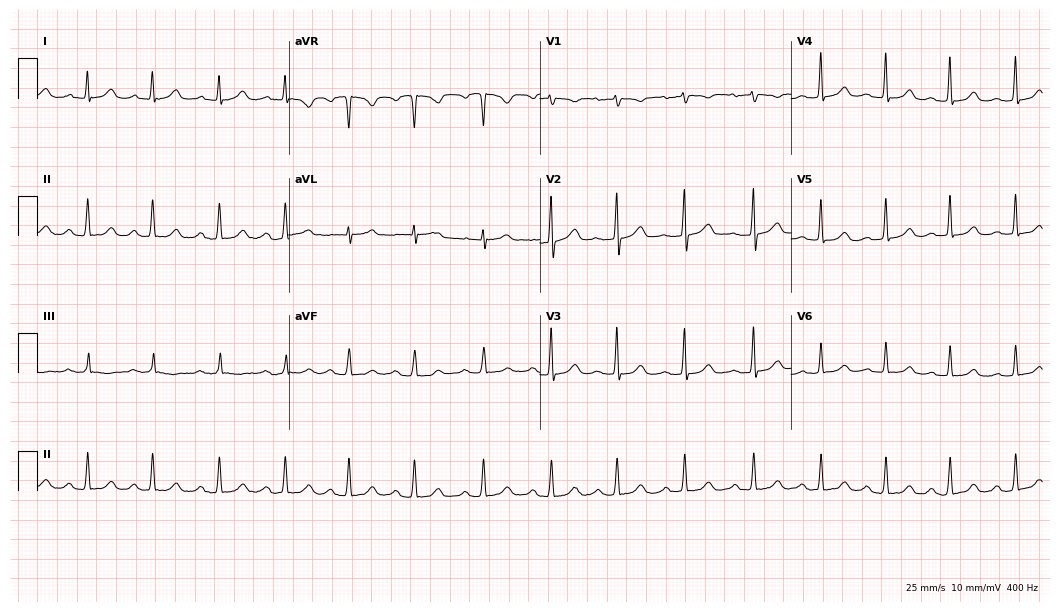
Standard 12-lead ECG recorded from a 39-year-old female (10.2-second recording at 400 Hz). The tracing shows first-degree AV block.